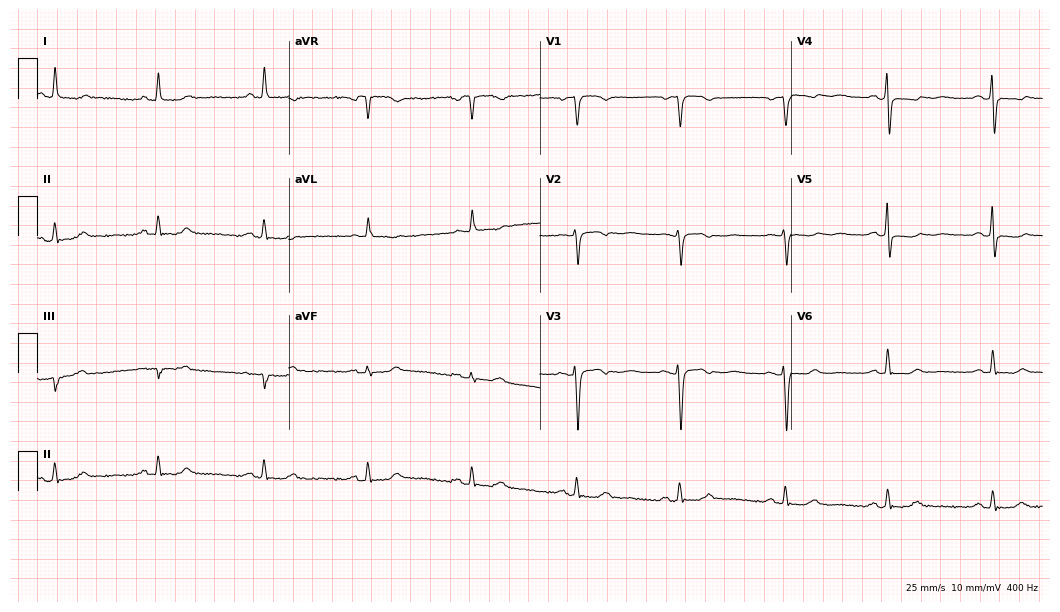
Standard 12-lead ECG recorded from a 54-year-old female. None of these six findings is recorded: first-degree AV block, right bundle branch block, left bundle branch block, sinus bradycardia, atrial fibrillation, sinus tachycardia.